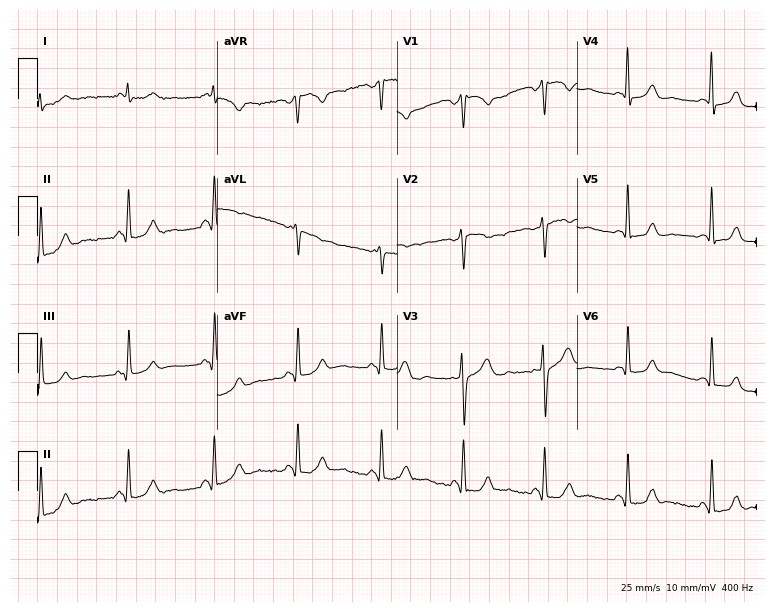
Resting 12-lead electrocardiogram. Patient: a female, 51 years old. None of these six findings is recorded: first-degree AV block, right bundle branch block, left bundle branch block, sinus bradycardia, atrial fibrillation, sinus tachycardia.